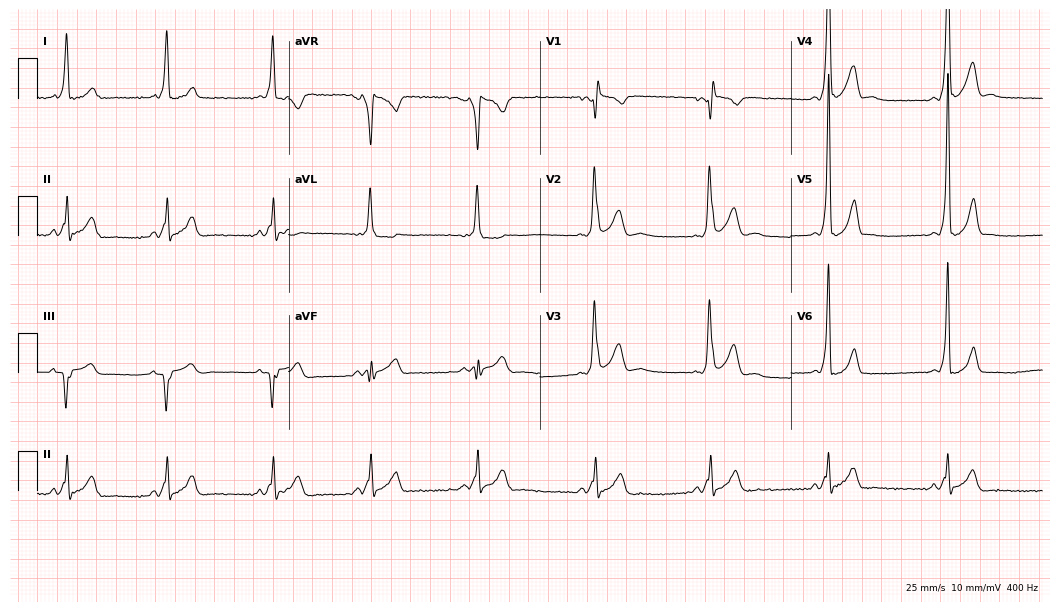
Standard 12-lead ECG recorded from a 21-year-old male. None of these six findings is recorded: first-degree AV block, right bundle branch block, left bundle branch block, sinus bradycardia, atrial fibrillation, sinus tachycardia.